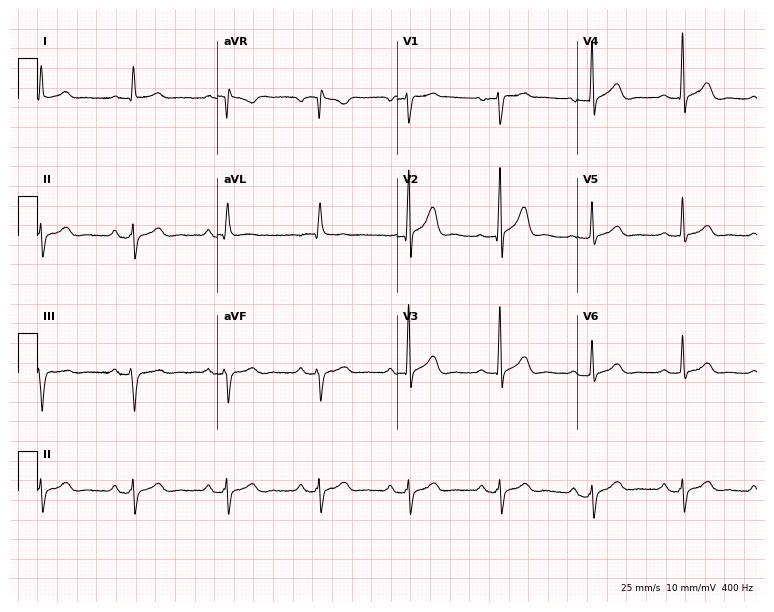
Resting 12-lead electrocardiogram. Patient: a male, 54 years old. The tracing shows first-degree AV block.